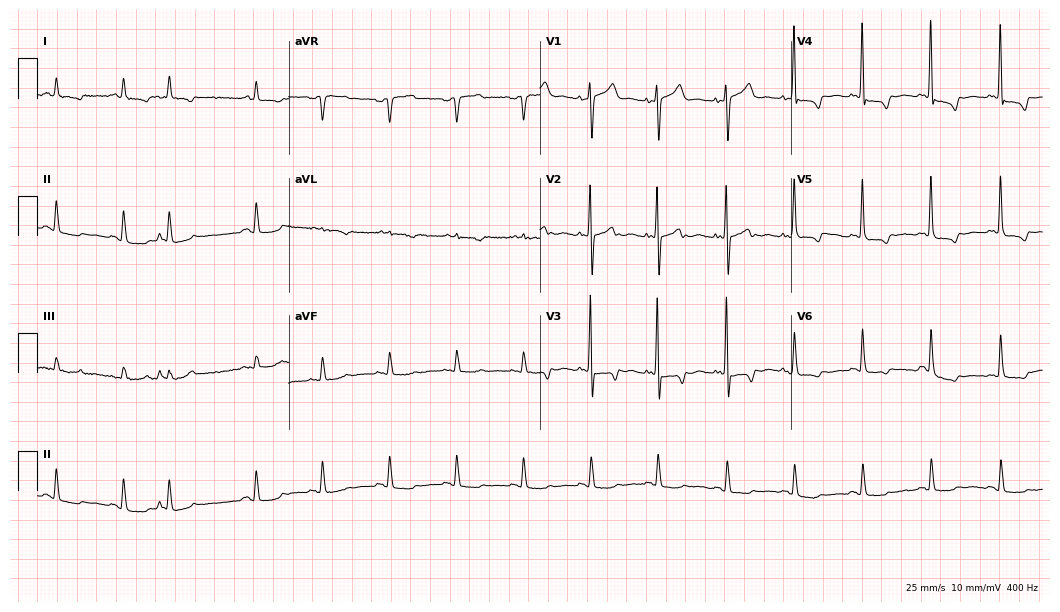
12-lead ECG from a woman, 78 years old (10.2-second recording at 400 Hz). No first-degree AV block, right bundle branch block, left bundle branch block, sinus bradycardia, atrial fibrillation or sinus tachycardia recorded for this tracing. Other findings, if any, are not listed.